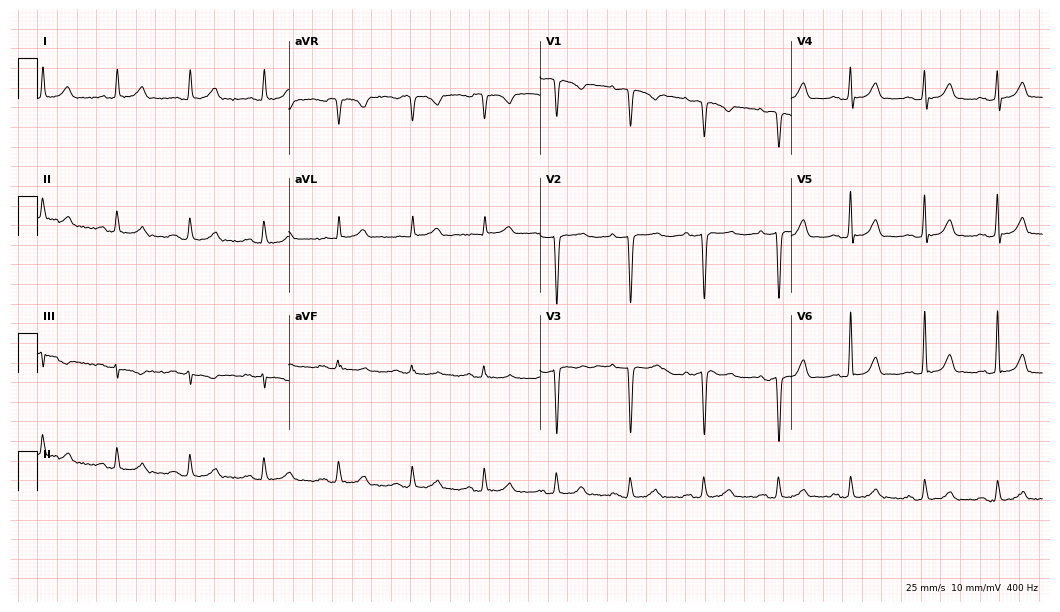
12-lead ECG (10.2-second recording at 400 Hz) from a 53-year-old female patient. Screened for six findings — first-degree AV block, right bundle branch block, left bundle branch block, sinus bradycardia, atrial fibrillation, sinus tachycardia — none is recorded.